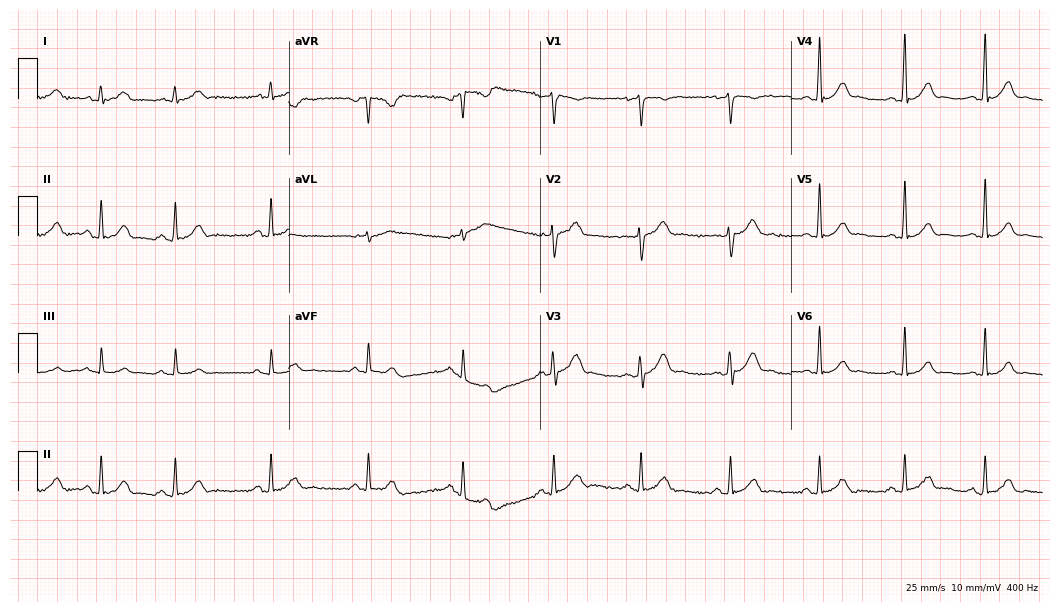
ECG — a male patient, 22 years old. Labelled as a normal ECG.